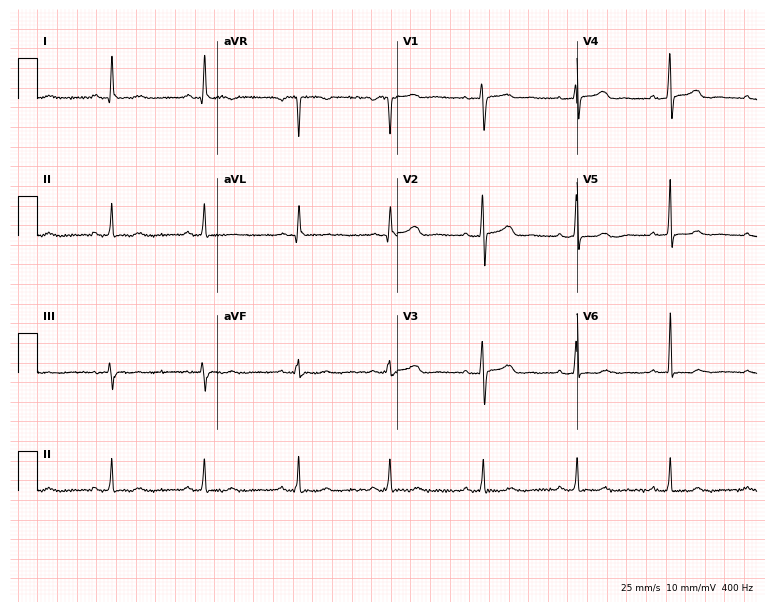
Electrocardiogram, a 44-year-old woman. Of the six screened findings (first-degree AV block, right bundle branch block, left bundle branch block, sinus bradycardia, atrial fibrillation, sinus tachycardia), none is recorded.